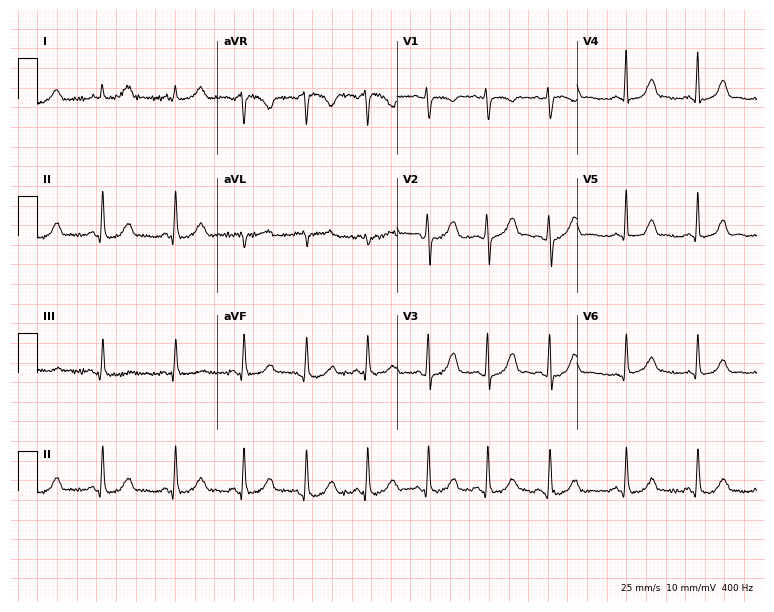
Electrocardiogram (7.3-second recording at 400 Hz), a woman, 29 years old. Of the six screened findings (first-degree AV block, right bundle branch block (RBBB), left bundle branch block (LBBB), sinus bradycardia, atrial fibrillation (AF), sinus tachycardia), none is recorded.